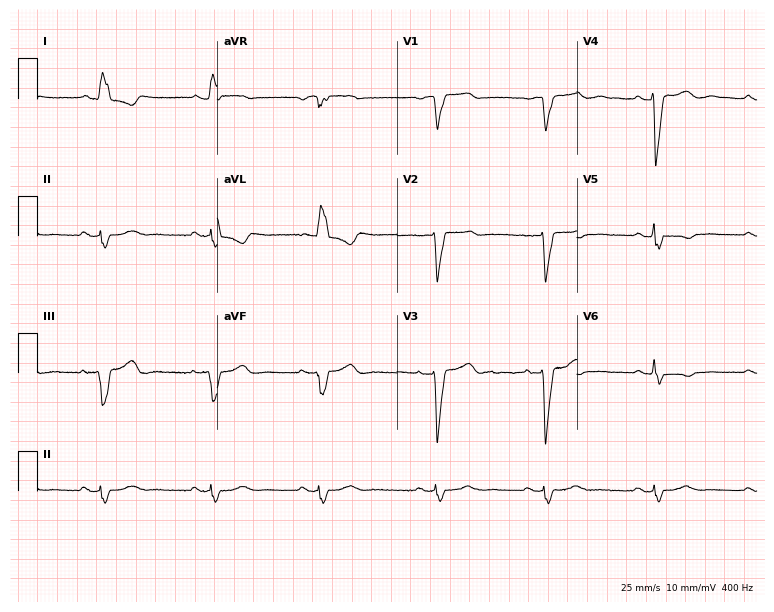
12-lead ECG from an 84-year-old female. Shows left bundle branch block (LBBB).